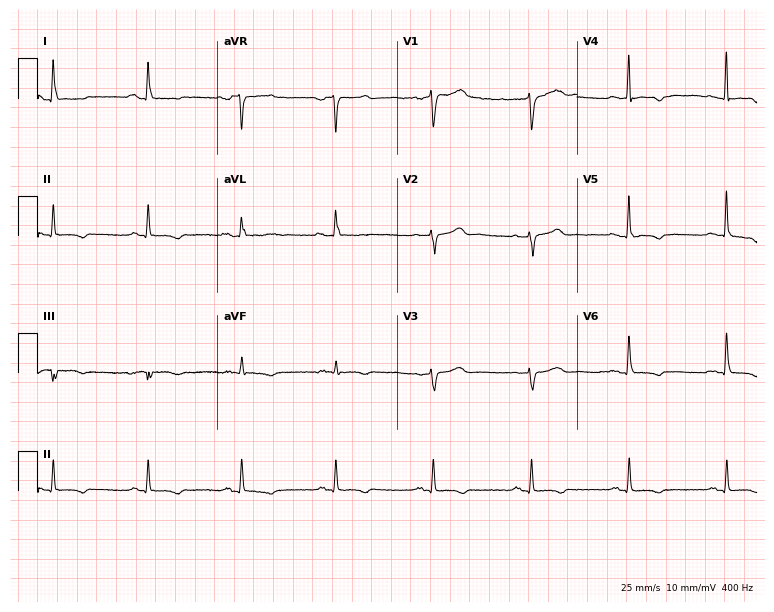
ECG — a 66-year-old female patient. Screened for six findings — first-degree AV block, right bundle branch block, left bundle branch block, sinus bradycardia, atrial fibrillation, sinus tachycardia — none is recorded. Only these six findings were labelled.